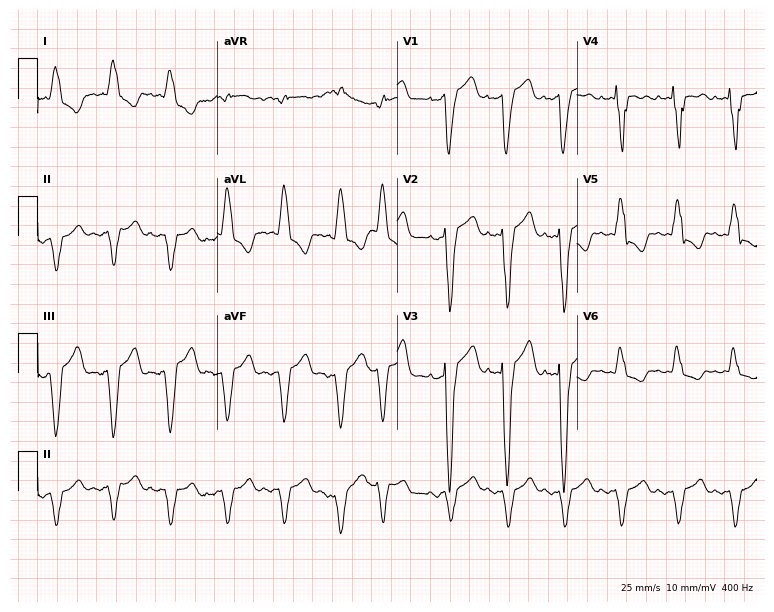
Electrocardiogram, an 84-year-old female. Interpretation includes left bundle branch block.